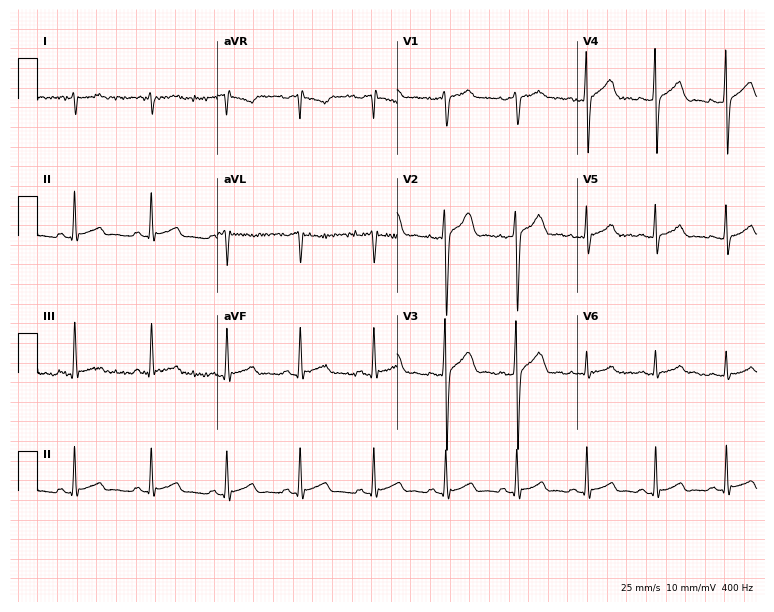
ECG — a 20-year-old male. Labelled as a normal ECG.